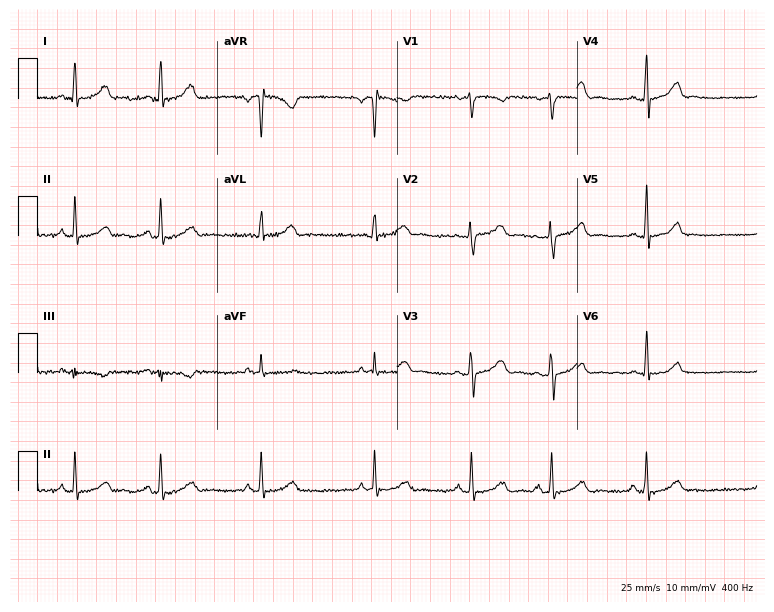
Electrocardiogram (7.3-second recording at 400 Hz), a female patient, 35 years old. Overall reading on record: normal ECG.